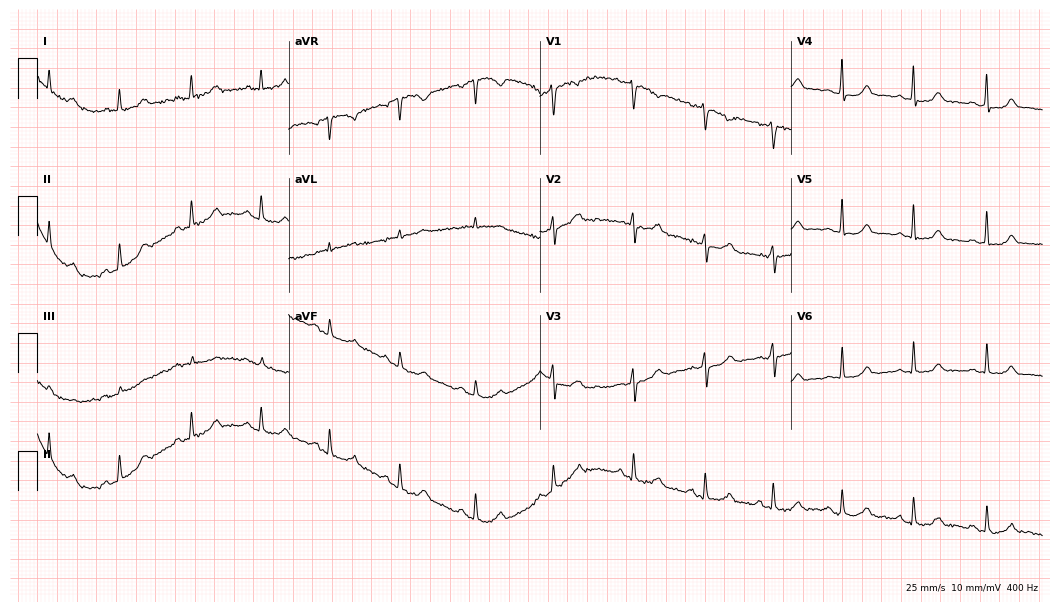
Standard 12-lead ECG recorded from a female, 37 years old (10.2-second recording at 400 Hz). None of these six findings is recorded: first-degree AV block, right bundle branch block, left bundle branch block, sinus bradycardia, atrial fibrillation, sinus tachycardia.